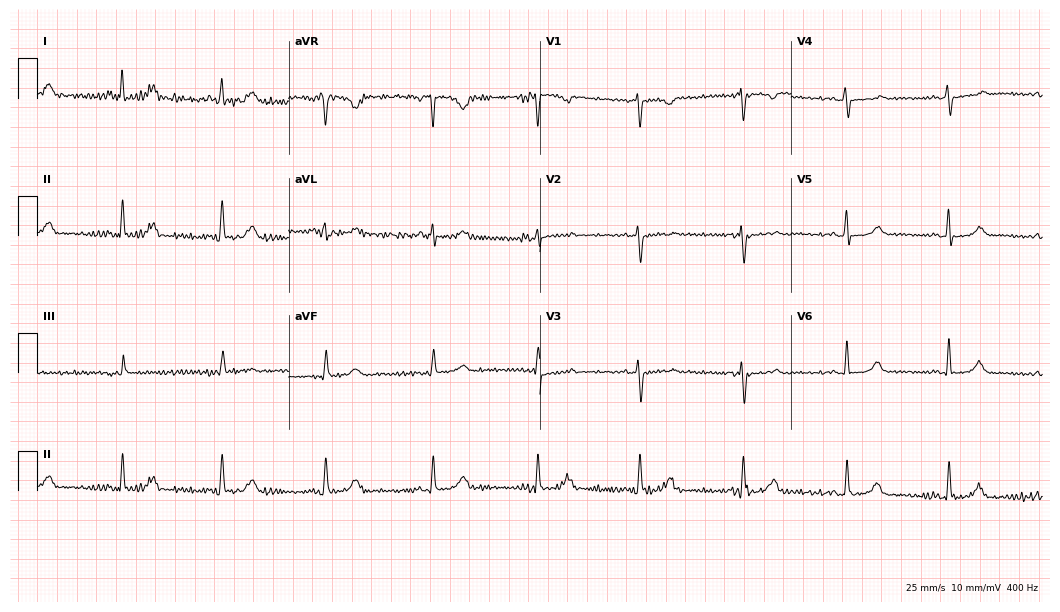
12-lead ECG from a 55-year-old female. Labelled as a normal ECG.